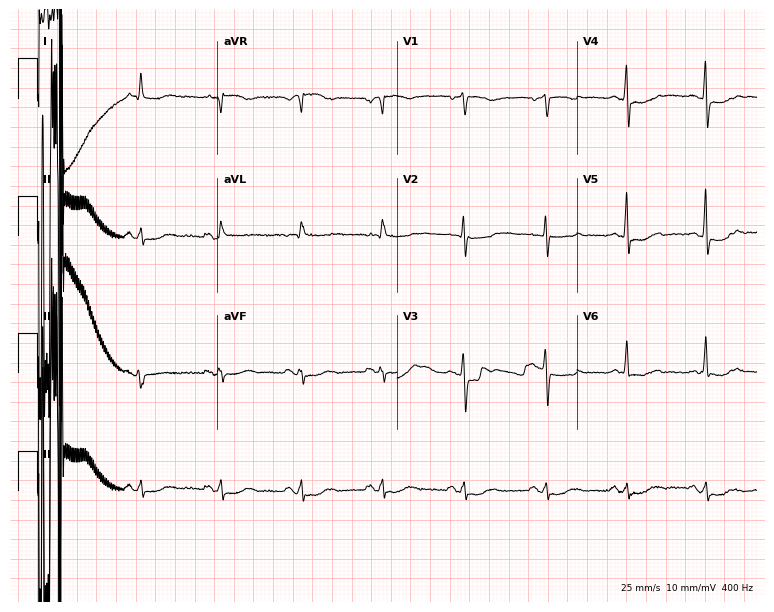
Standard 12-lead ECG recorded from a 78-year-old female patient (7.3-second recording at 400 Hz). None of these six findings is recorded: first-degree AV block, right bundle branch block (RBBB), left bundle branch block (LBBB), sinus bradycardia, atrial fibrillation (AF), sinus tachycardia. Only these six findings were labelled.